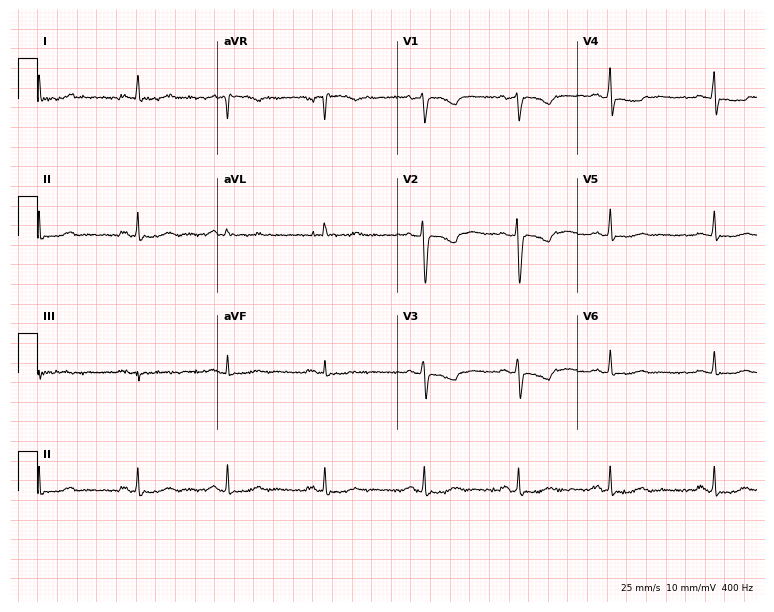
ECG — a woman, 52 years old. Screened for six findings — first-degree AV block, right bundle branch block (RBBB), left bundle branch block (LBBB), sinus bradycardia, atrial fibrillation (AF), sinus tachycardia — none is recorded. Findings outside these six are not listed.